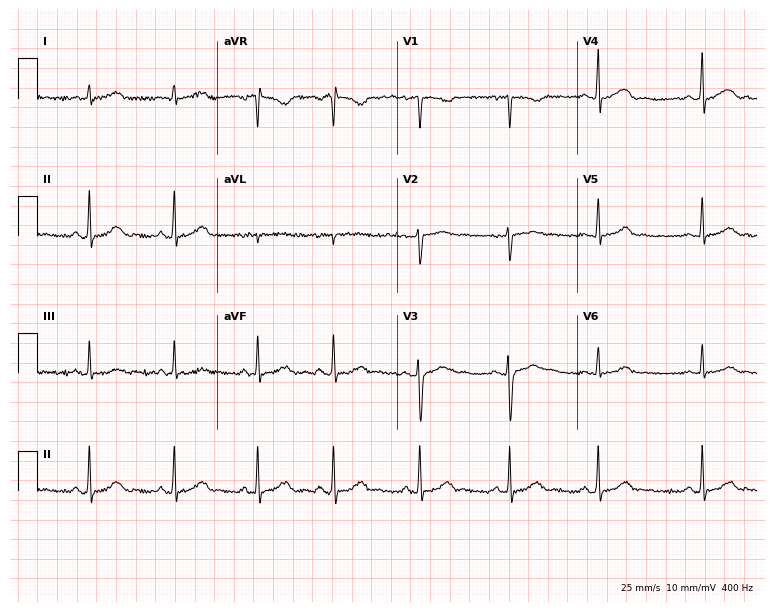
Resting 12-lead electrocardiogram (7.3-second recording at 400 Hz). Patient: a female, 22 years old. Read as a normal ECG.